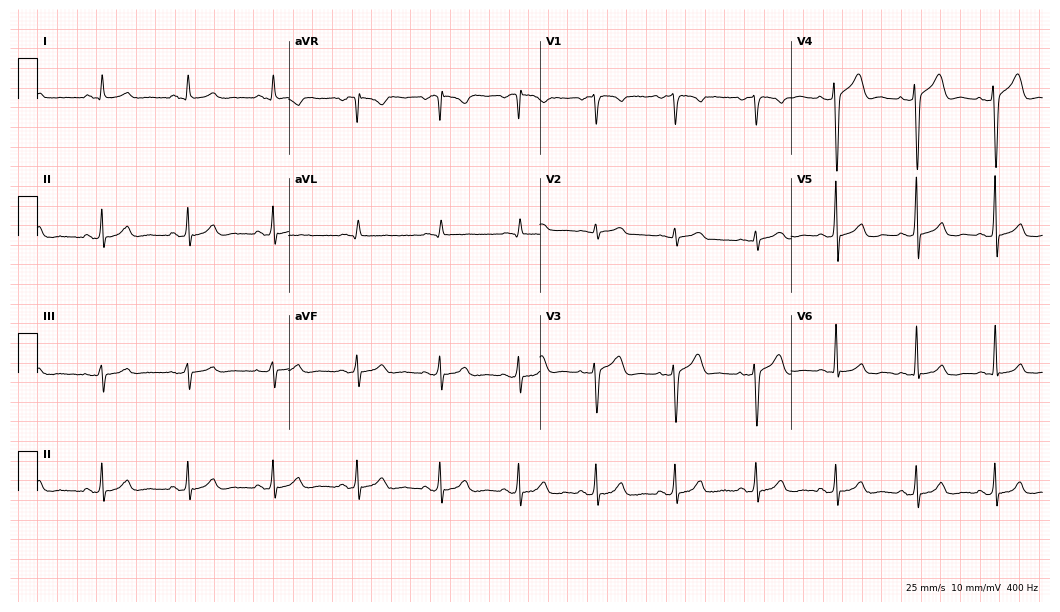
12-lead ECG from a 38-year-old man (10.2-second recording at 400 Hz). No first-degree AV block, right bundle branch block, left bundle branch block, sinus bradycardia, atrial fibrillation or sinus tachycardia recorded for this tracing. Only these six findings were labelled.